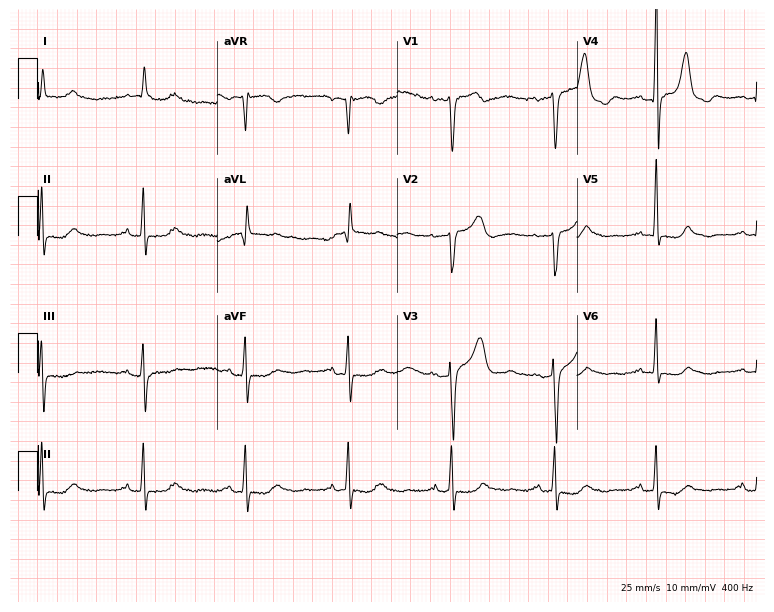
ECG (7.3-second recording at 400 Hz) — an 80-year-old male. Screened for six findings — first-degree AV block, right bundle branch block, left bundle branch block, sinus bradycardia, atrial fibrillation, sinus tachycardia — none is recorded. Only these six findings were labelled.